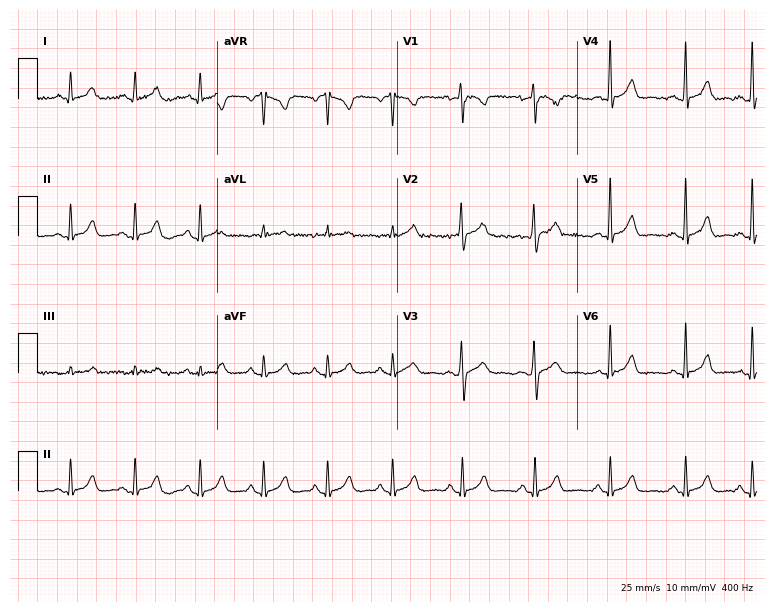
Standard 12-lead ECG recorded from a 33-year-old female (7.3-second recording at 400 Hz). Read as a normal ECG.